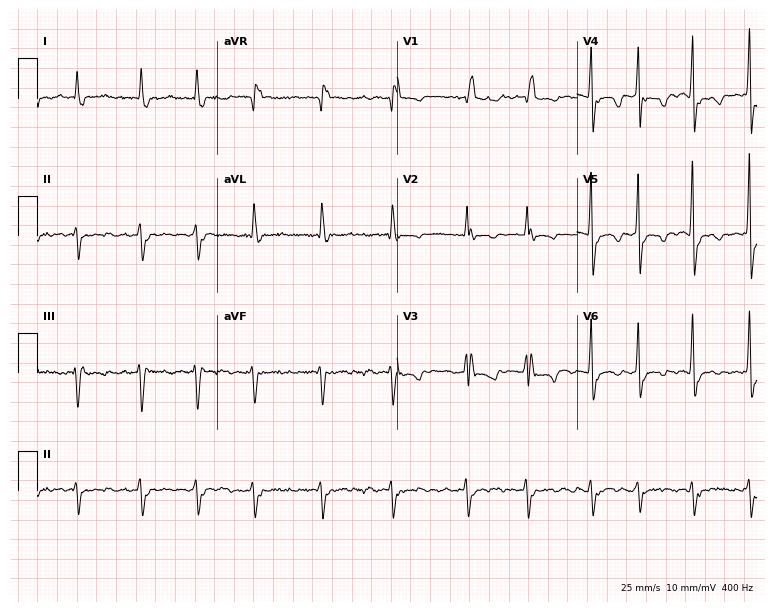
12-lead ECG from a woman, 69 years old. Shows right bundle branch block, atrial fibrillation.